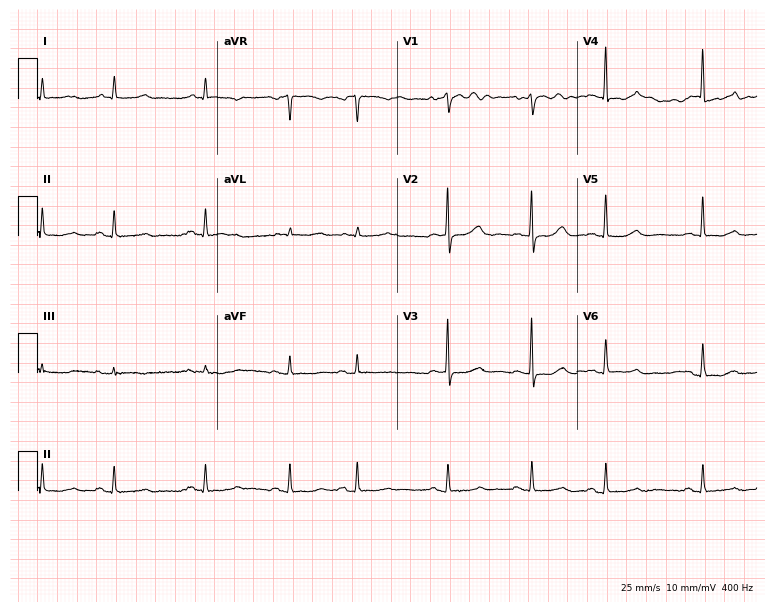
Standard 12-lead ECG recorded from a female, 84 years old (7.3-second recording at 400 Hz). None of these six findings is recorded: first-degree AV block, right bundle branch block, left bundle branch block, sinus bradycardia, atrial fibrillation, sinus tachycardia. Only these six findings were labelled.